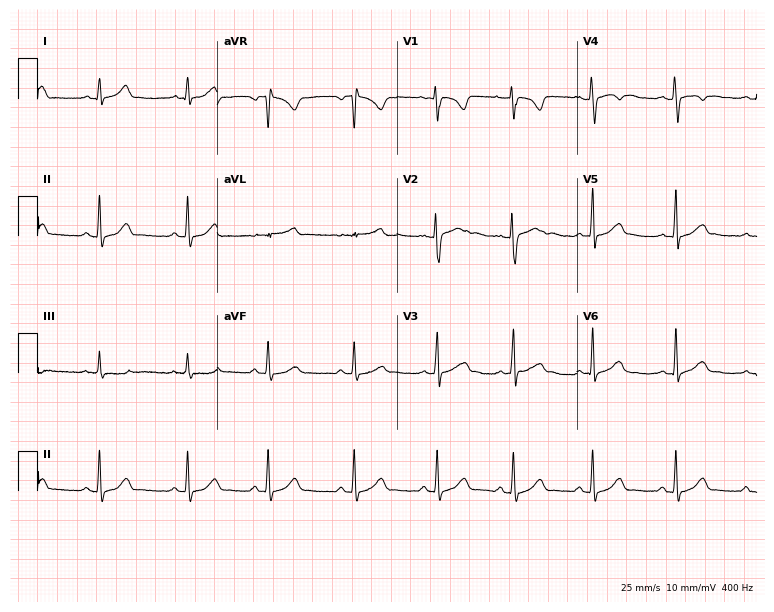
Electrocardiogram (7.3-second recording at 400 Hz), a female patient, 24 years old. Overall reading on record: normal ECG.